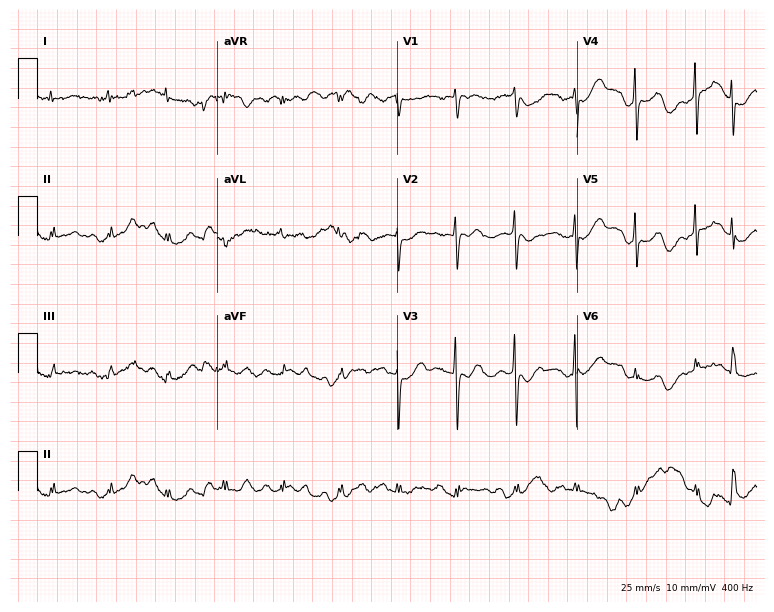
Resting 12-lead electrocardiogram. Patient: an 83-year-old male. None of these six findings is recorded: first-degree AV block, right bundle branch block (RBBB), left bundle branch block (LBBB), sinus bradycardia, atrial fibrillation (AF), sinus tachycardia.